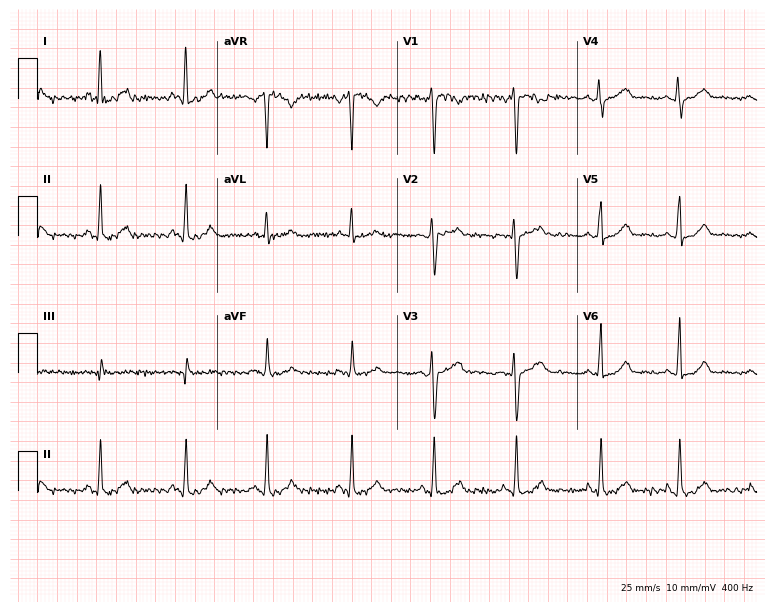
ECG — a 42-year-old female patient. Labelled as a normal ECG.